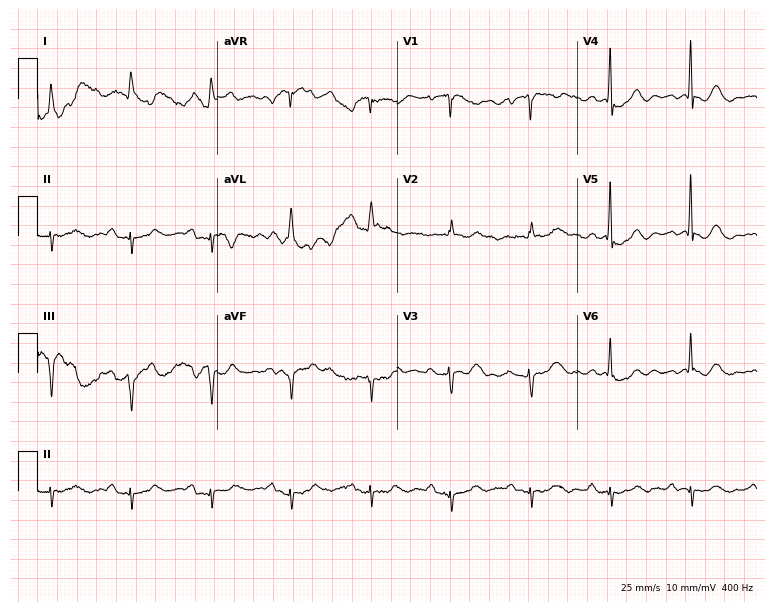
Resting 12-lead electrocardiogram. Patient: a female, 83 years old. None of these six findings is recorded: first-degree AV block, right bundle branch block, left bundle branch block, sinus bradycardia, atrial fibrillation, sinus tachycardia.